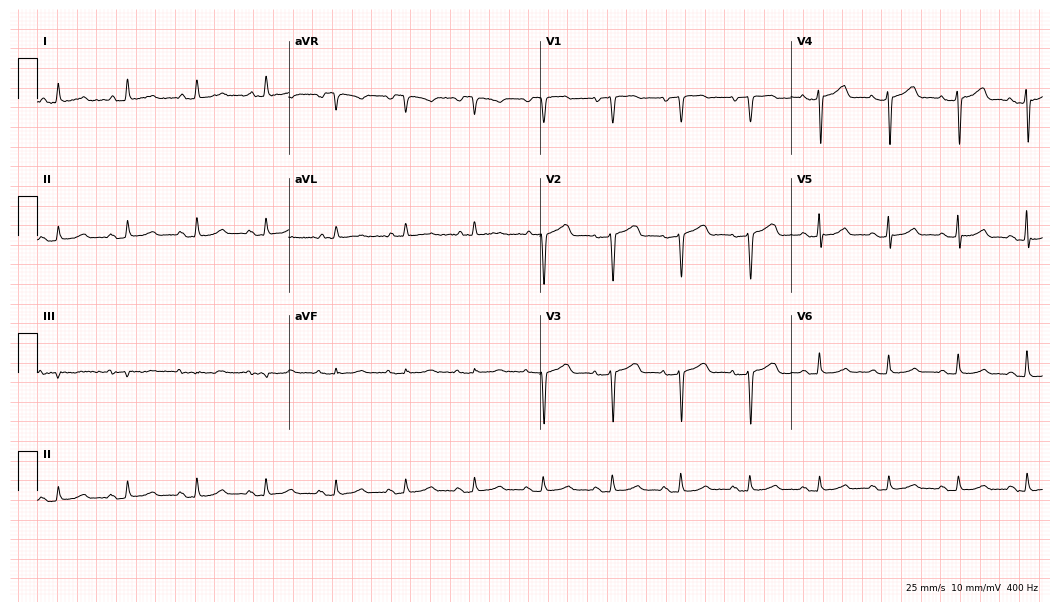
Resting 12-lead electrocardiogram. Patient: a 70-year-old female. None of these six findings is recorded: first-degree AV block, right bundle branch block, left bundle branch block, sinus bradycardia, atrial fibrillation, sinus tachycardia.